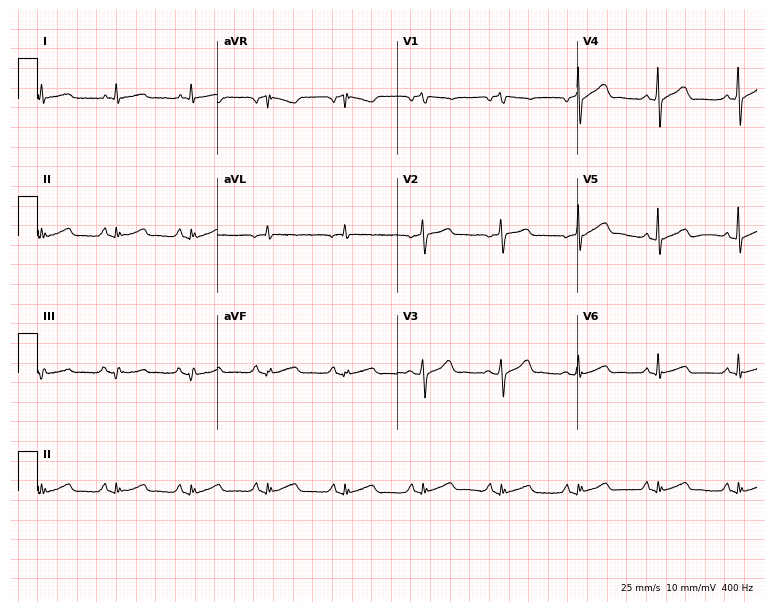
Resting 12-lead electrocardiogram. Patient: an 84-year-old man. Read as a normal ECG.